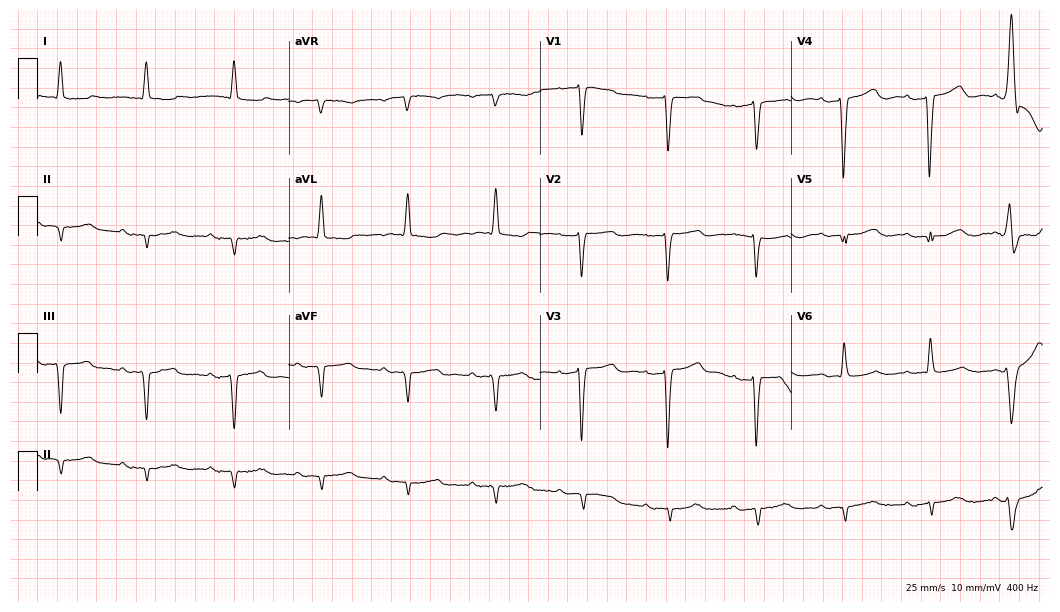
Electrocardiogram (10.2-second recording at 400 Hz), a female patient, 83 years old. Of the six screened findings (first-degree AV block, right bundle branch block, left bundle branch block, sinus bradycardia, atrial fibrillation, sinus tachycardia), none is recorded.